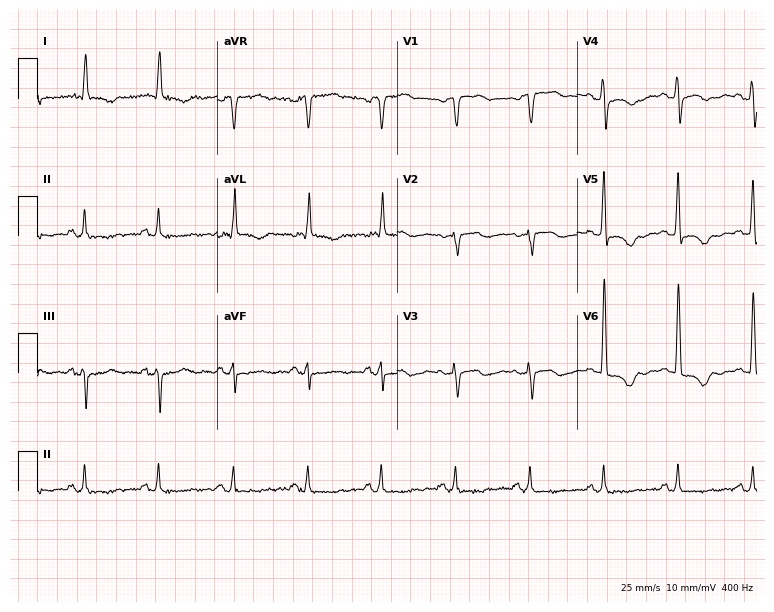
ECG (7.3-second recording at 400 Hz) — a woman, 71 years old. Screened for six findings — first-degree AV block, right bundle branch block (RBBB), left bundle branch block (LBBB), sinus bradycardia, atrial fibrillation (AF), sinus tachycardia — none is recorded. Findings outside these six are not listed.